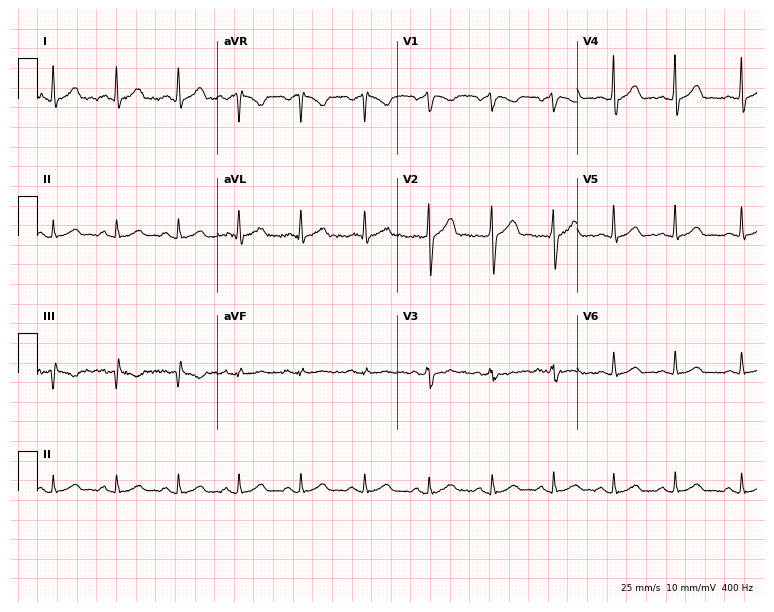
Resting 12-lead electrocardiogram. Patient: a 43-year-old man. Read as a normal ECG.